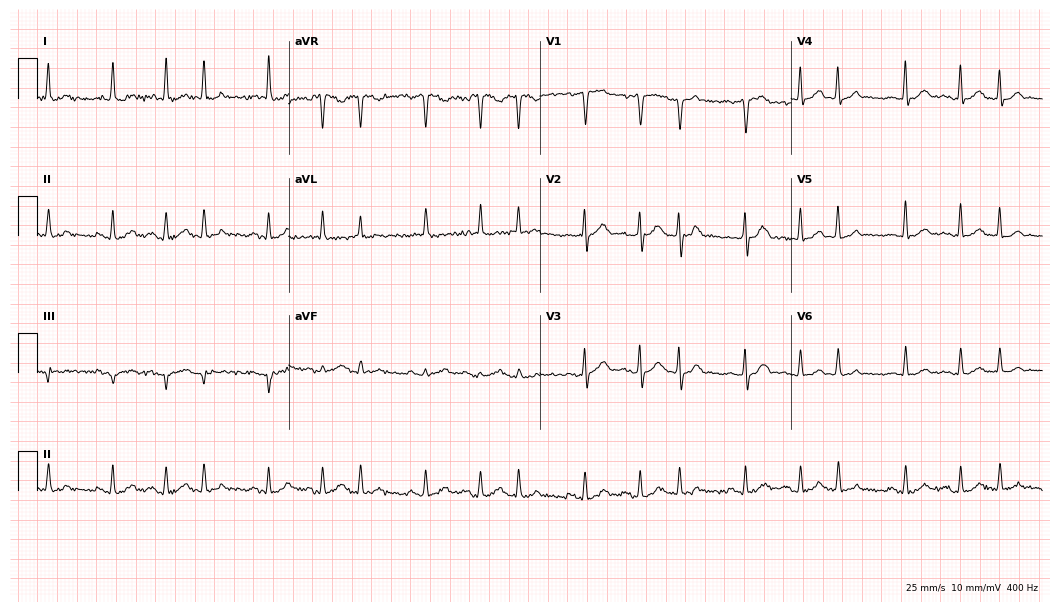
Electrocardiogram, a male patient, 46 years old. Interpretation includes sinus tachycardia (a sinus rate of 100 beats per minute or more).